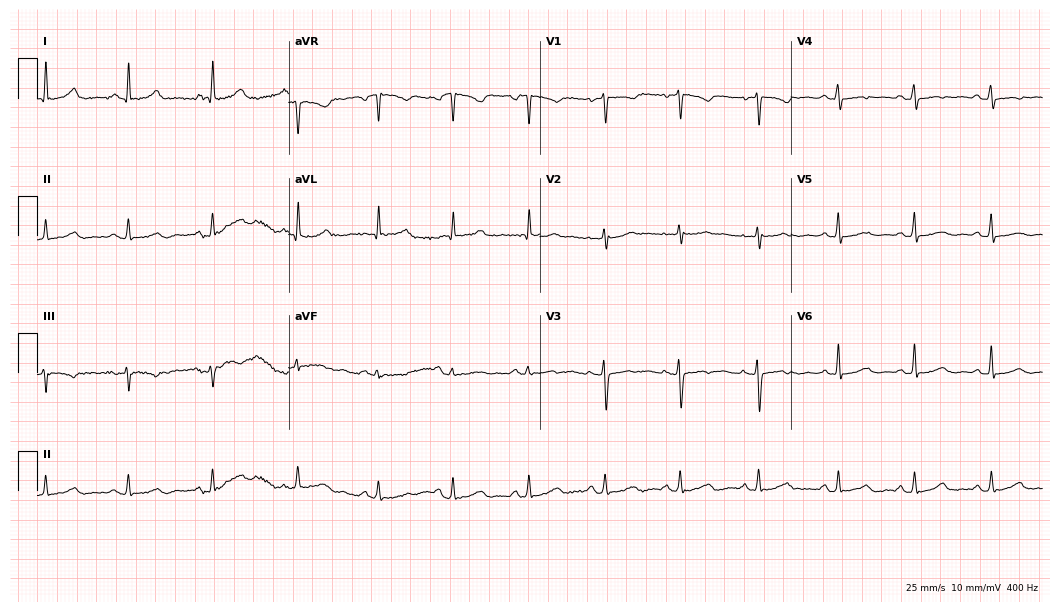
ECG (10.2-second recording at 400 Hz) — a 44-year-old female. Screened for six findings — first-degree AV block, right bundle branch block, left bundle branch block, sinus bradycardia, atrial fibrillation, sinus tachycardia — none is recorded.